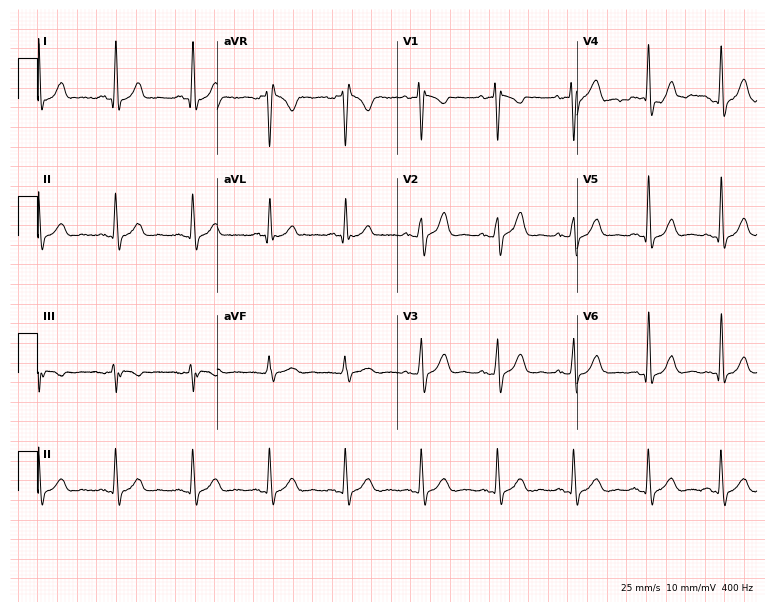
ECG — a male patient, 38 years old. Screened for six findings — first-degree AV block, right bundle branch block, left bundle branch block, sinus bradycardia, atrial fibrillation, sinus tachycardia — none is recorded.